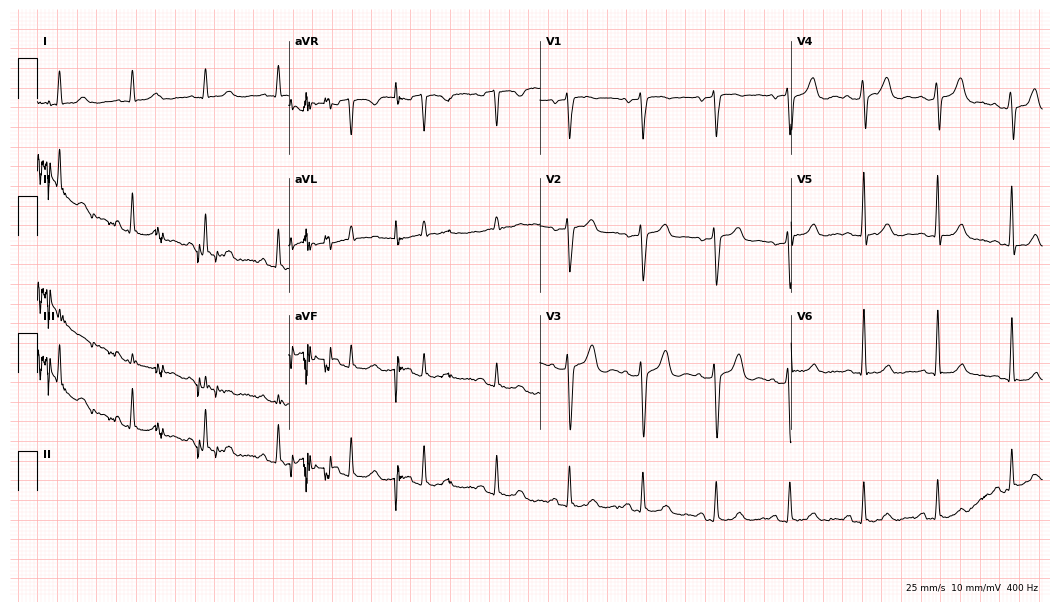
Resting 12-lead electrocardiogram (10.2-second recording at 400 Hz). Patient: a male, 52 years old. Read as a normal ECG.